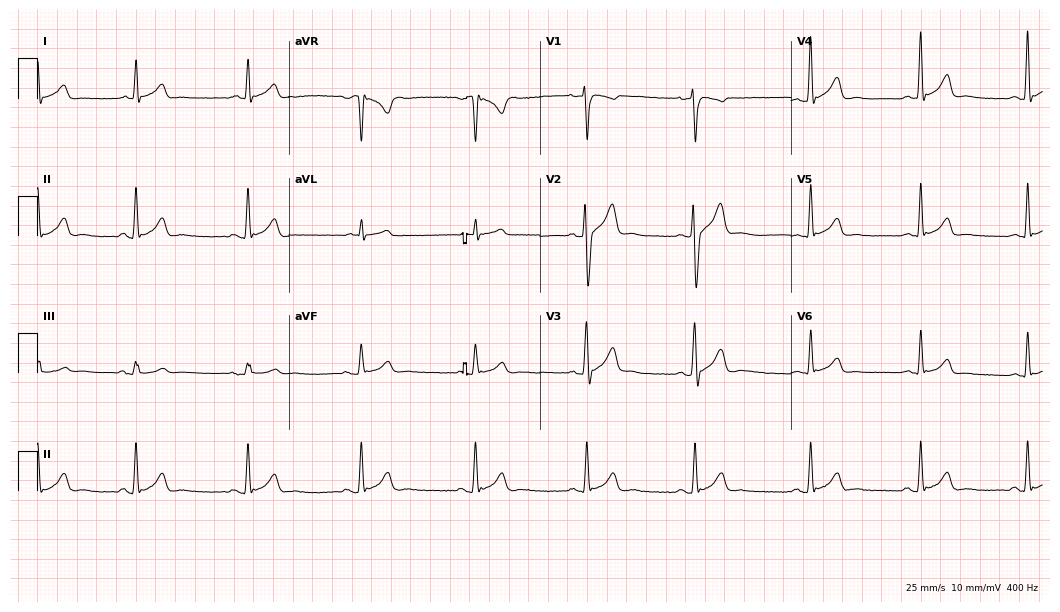
Electrocardiogram, a 27-year-old male. Overall reading on record: normal ECG.